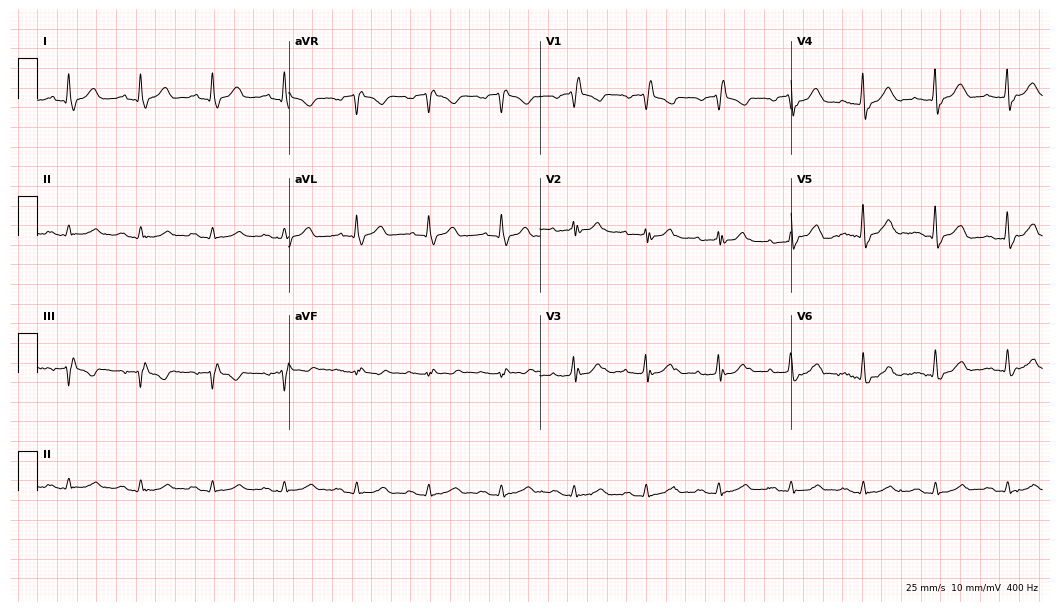
Electrocardiogram (10.2-second recording at 400 Hz), a man, 82 years old. Interpretation includes right bundle branch block (RBBB).